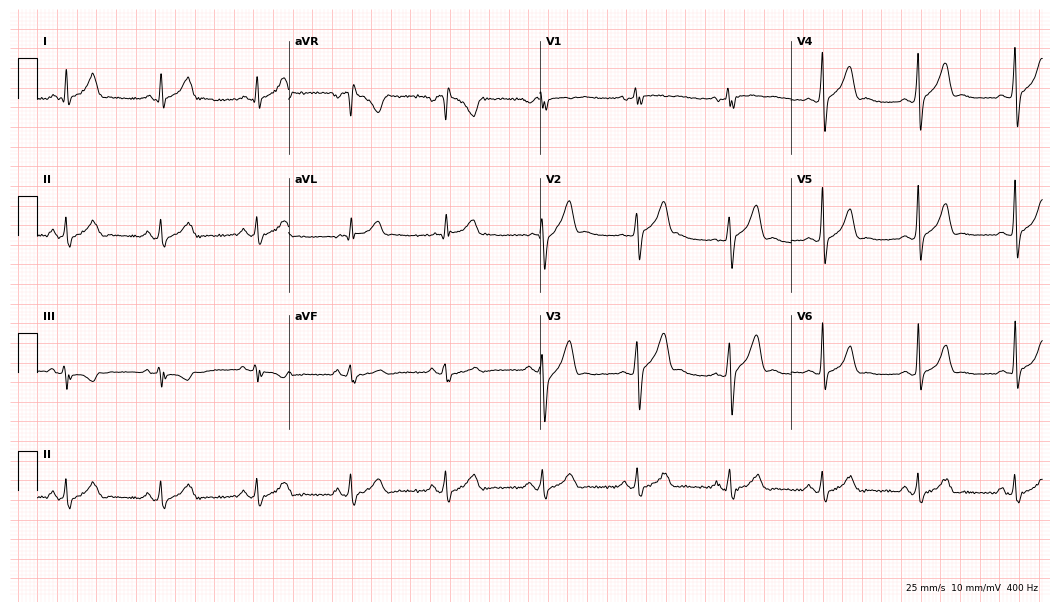
Resting 12-lead electrocardiogram. Patient: a 34-year-old male. None of these six findings is recorded: first-degree AV block, right bundle branch block (RBBB), left bundle branch block (LBBB), sinus bradycardia, atrial fibrillation (AF), sinus tachycardia.